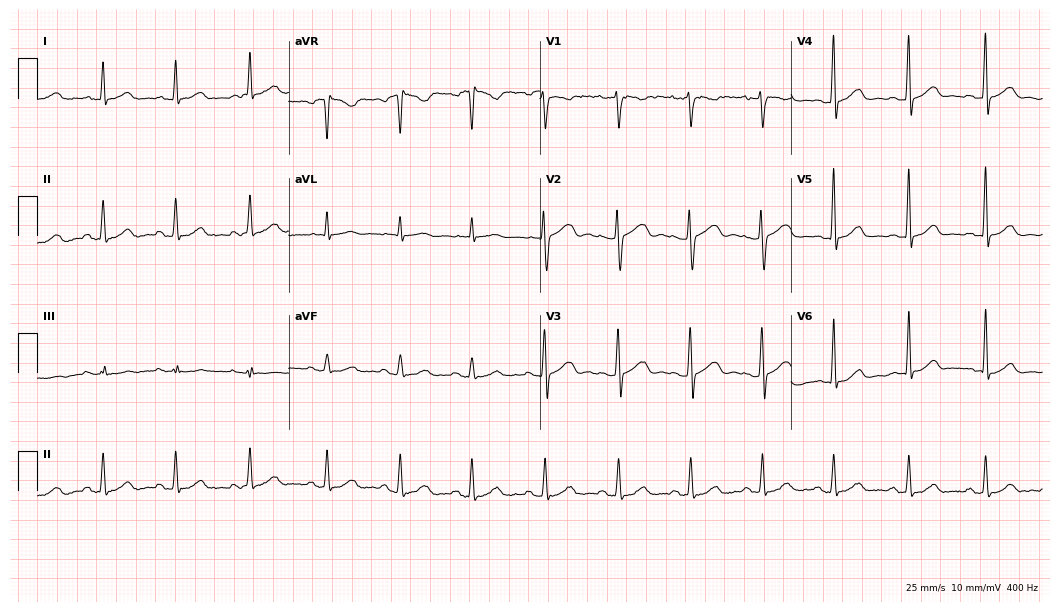
12-lead ECG (10.2-second recording at 400 Hz) from a 47-year-old woman. Labelled as a normal ECG.